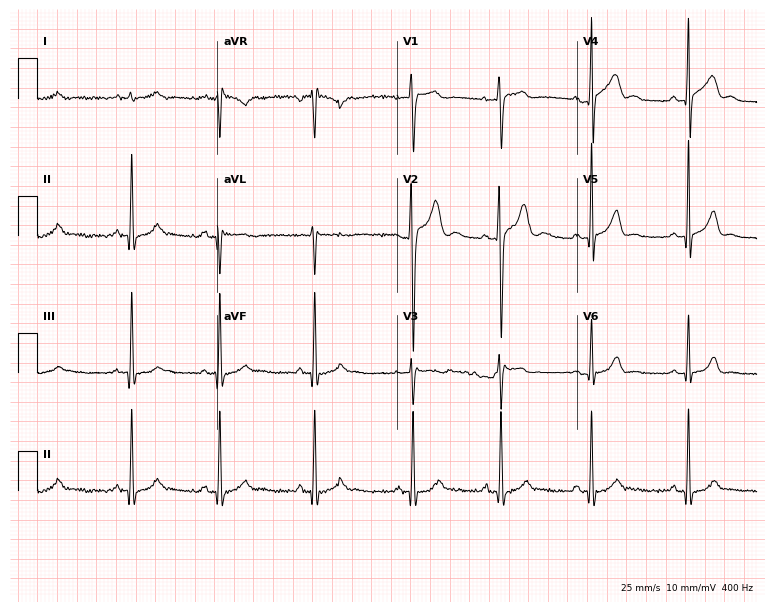
Electrocardiogram (7.3-second recording at 400 Hz), a 19-year-old man. Overall reading on record: normal ECG.